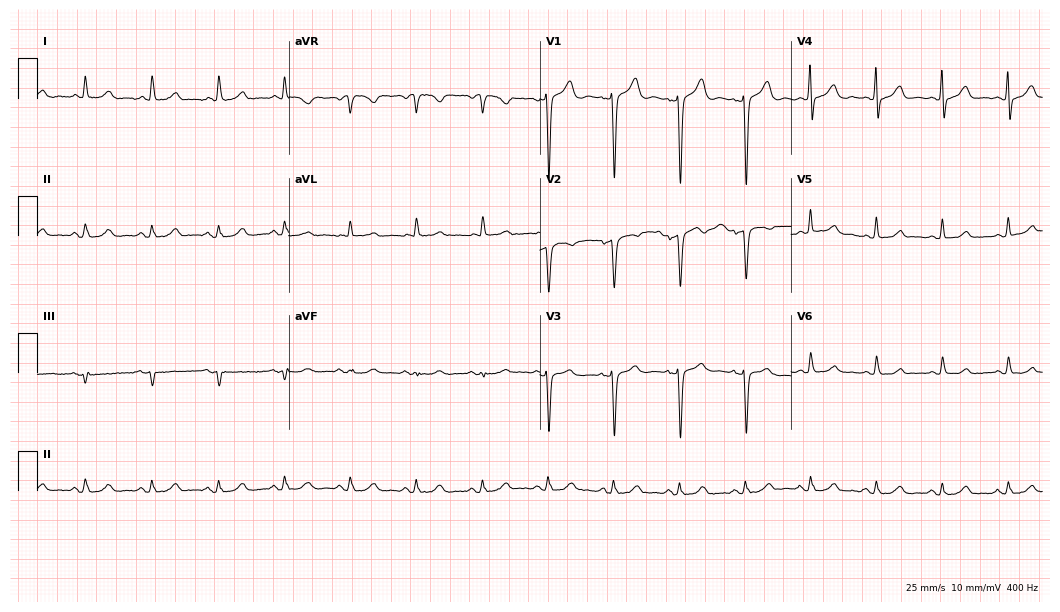
12-lead ECG (10.2-second recording at 400 Hz) from a 75-year-old woman. Labelled as a normal ECG.